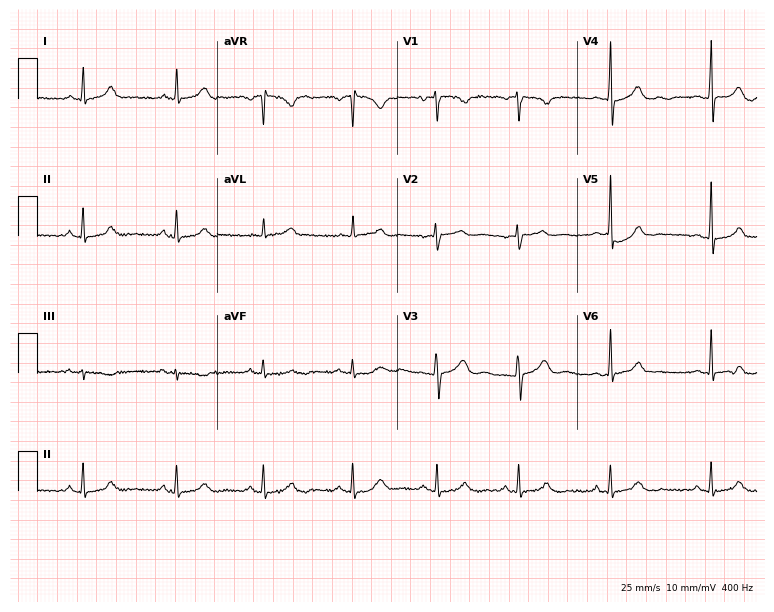
ECG — a 25-year-old female. Screened for six findings — first-degree AV block, right bundle branch block, left bundle branch block, sinus bradycardia, atrial fibrillation, sinus tachycardia — none is recorded.